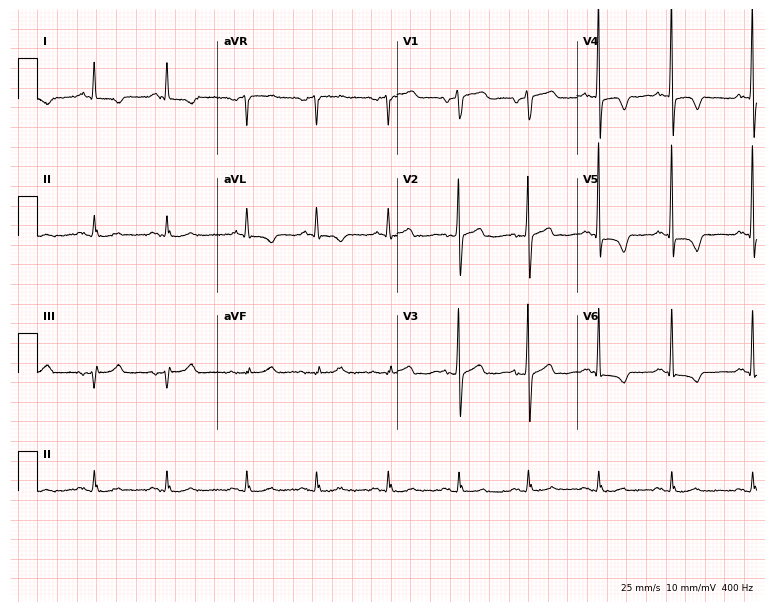
Standard 12-lead ECG recorded from a man, 74 years old. Read as a normal ECG.